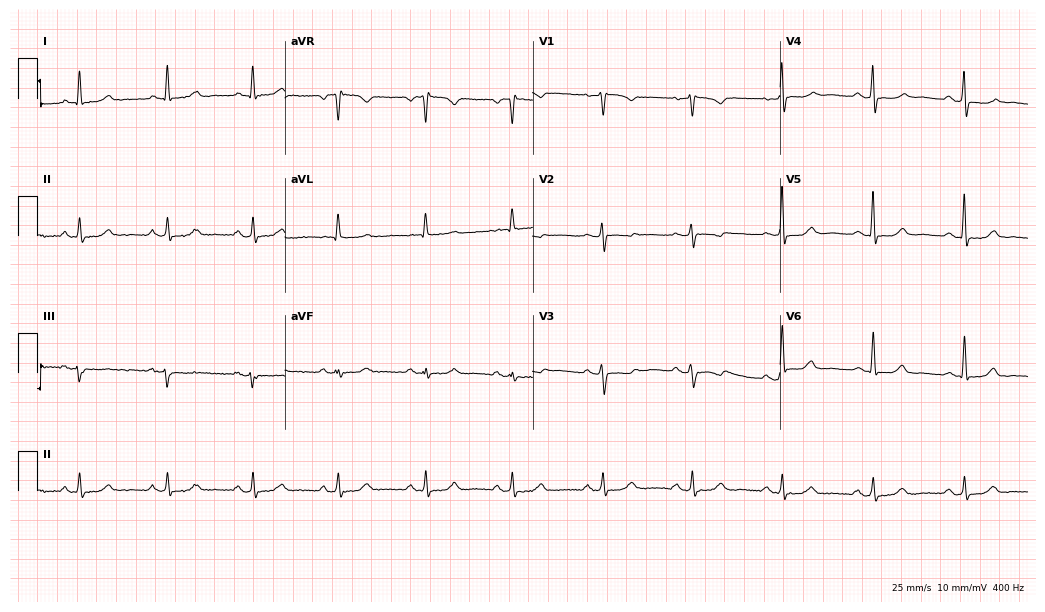
12-lead ECG from a 72-year-old female patient. No first-degree AV block, right bundle branch block, left bundle branch block, sinus bradycardia, atrial fibrillation or sinus tachycardia recorded for this tracing.